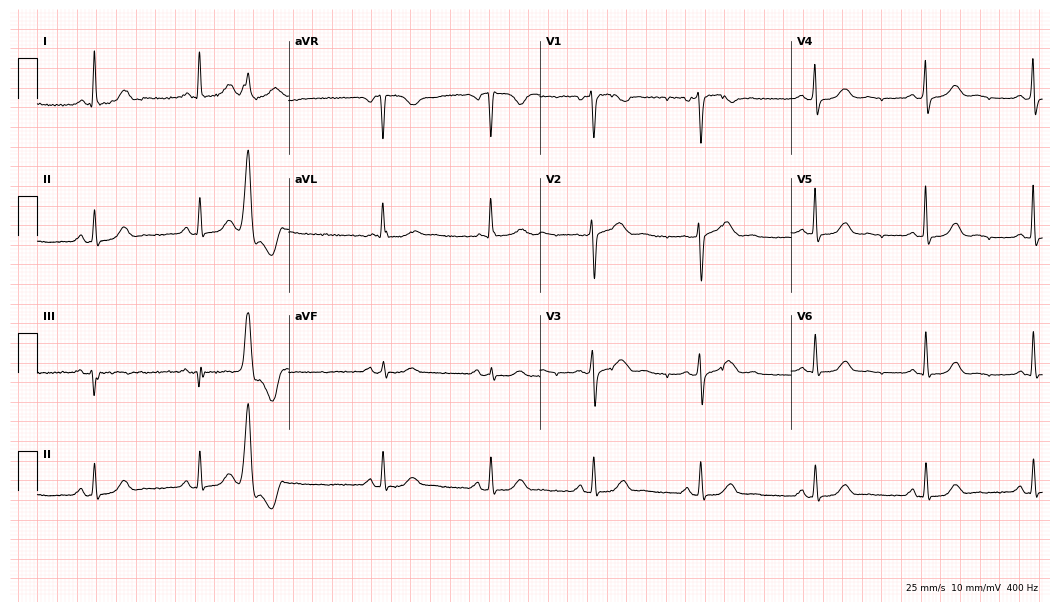
12-lead ECG from a 60-year-old female (10.2-second recording at 400 Hz). No first-degree AV block, right bundle branch block, left bundle branch block, sinus bradycardia, atrial fibrillation or sinus tachycardia recorded for this tracing.